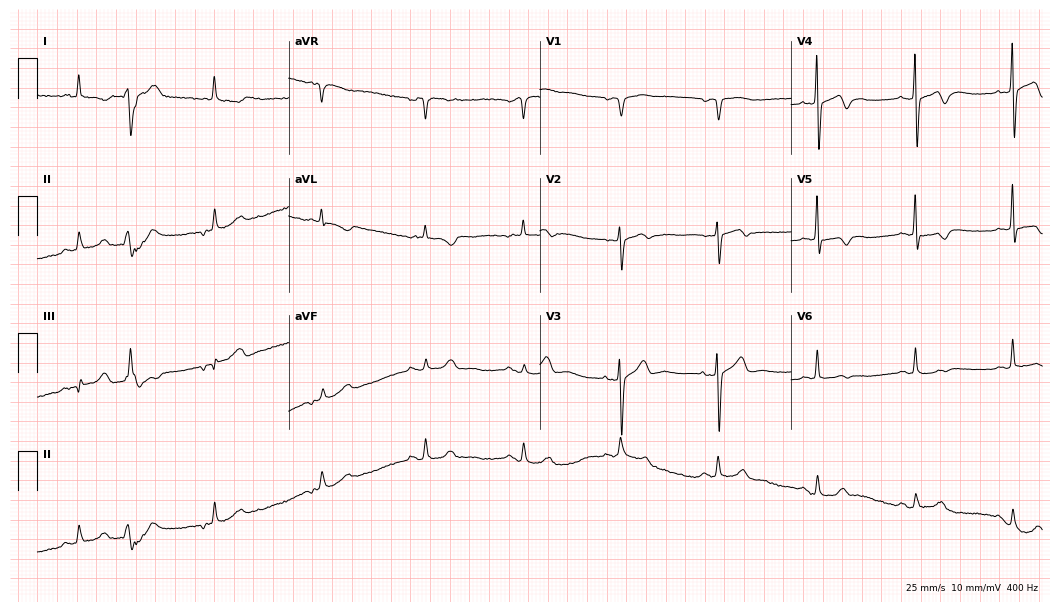
12-lead ECG from a 78-year-old woman (10.2-second recording at 400 Hz). No first-degree AV block, right bundle branch block (RBBB), left bundle branch block (LBBB), sinus bradycardia, atrial fibrillation (AF) or sinus tachycardia recorded for this tracing. Other findings, if any, are not listed.